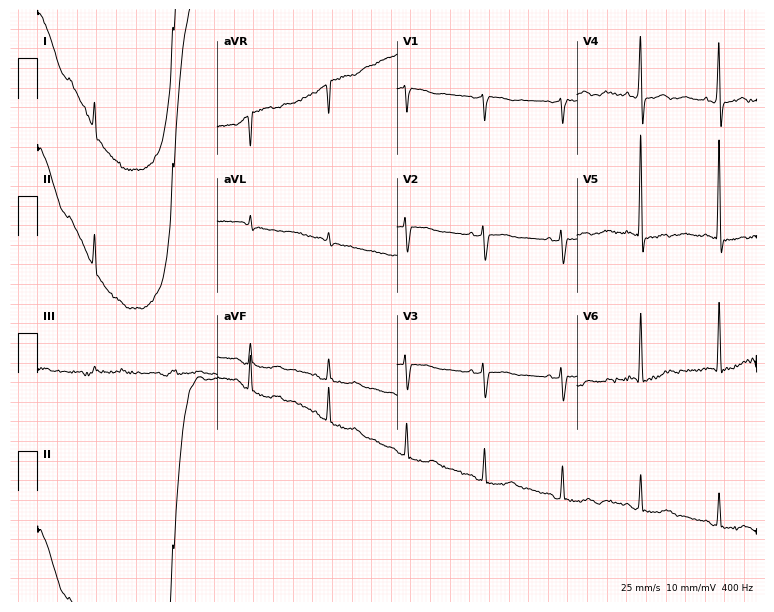
ECG (7.3-second recording at 400 Hz) — a 75-year-old woman. Screened for six findings — first-degree AV block, right bundle branch block, left bundle branch block, sinus bradycardia, atrial fibrillation, sinus tachycardia — none is recorded. Other findings, if any, are not listed.